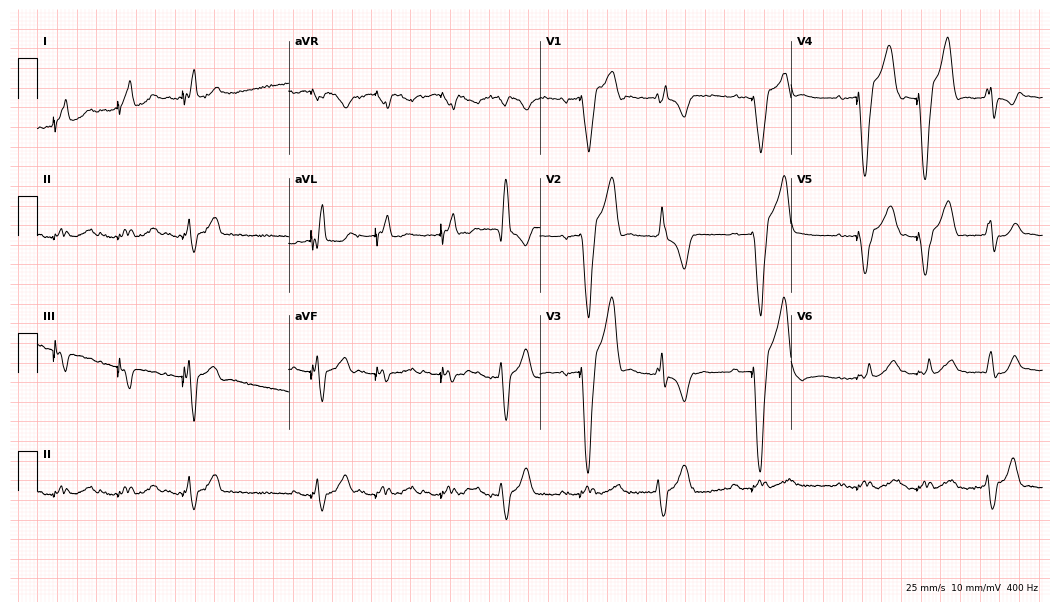
12-lead ECG from a 51-year-old male patient. Screened for six findings — first-degree AV block, right bundle branch block, left bundle branch block, sinus bradycardia, atrial fibrillation, sinus tachycardia — none is recorded.